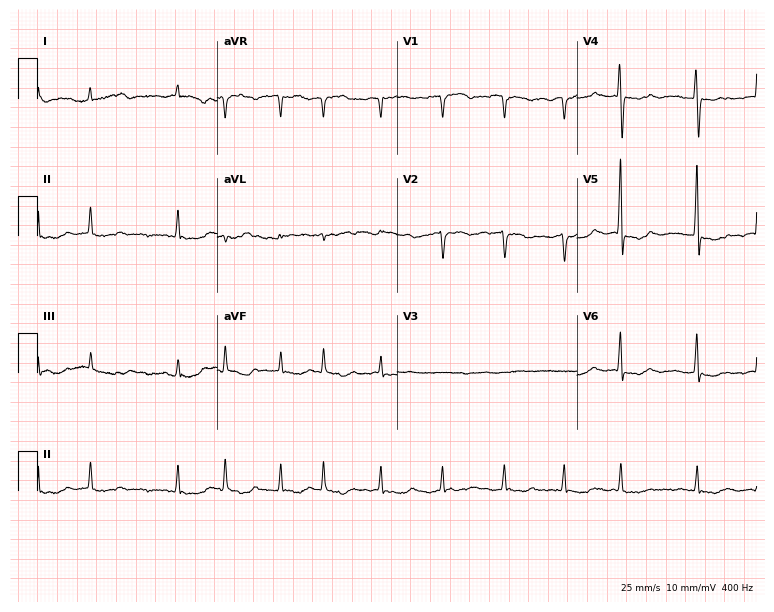
12-lead ECG from a 68-year-old female (7.3-second recording at 400 Hz). No first-degree AV block, right bundle branch block, left bundle branch block, sinus bradycardia, atrial fibrillation or sinus tachycardia recorded for this tracing.